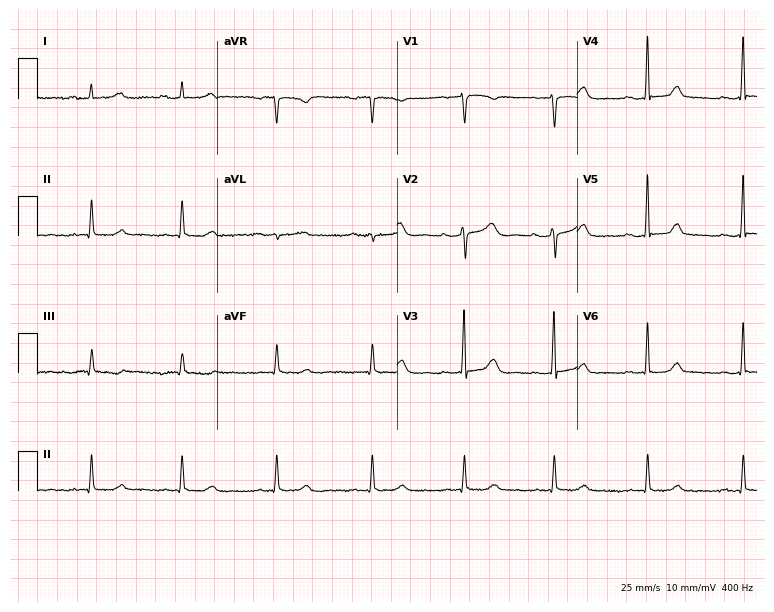
ECG (7.3-second recording at 400 Hz) — a female patient, 49 years old. Screened for six findings — first-degree AV block, right bundle branch block, left bundle branch block, sinus bradycardia, atrial fibrillation, sinus tachycardia — none is recorded. Other findings, if any, are not listed.